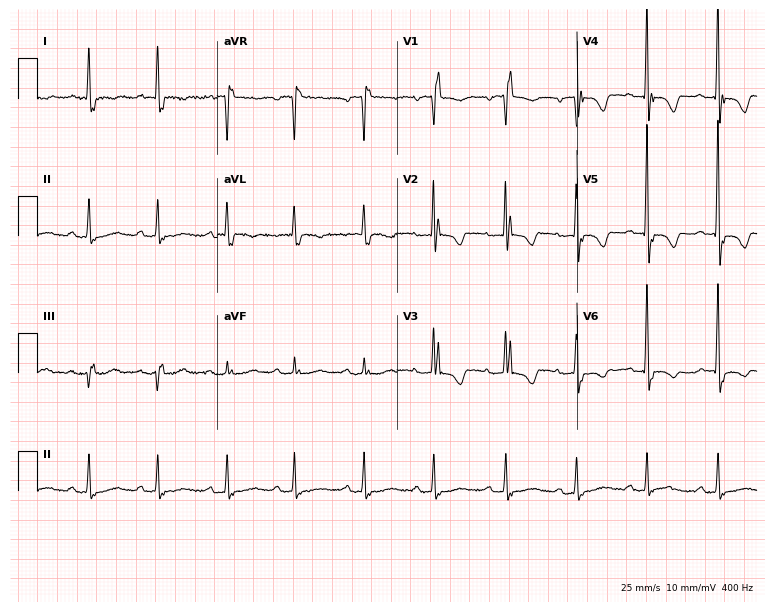
Resting 12-lead electrocardiogram. Patient: a woman, 85 years old. None of these six findings is recorded: first-degree AV block, right bundle branch block (RBBB), left bundle branch block (LBBB), sinus bradycardia, atrial fibrillation (AF), sinus tachycardia. Only these six findings were labelled.